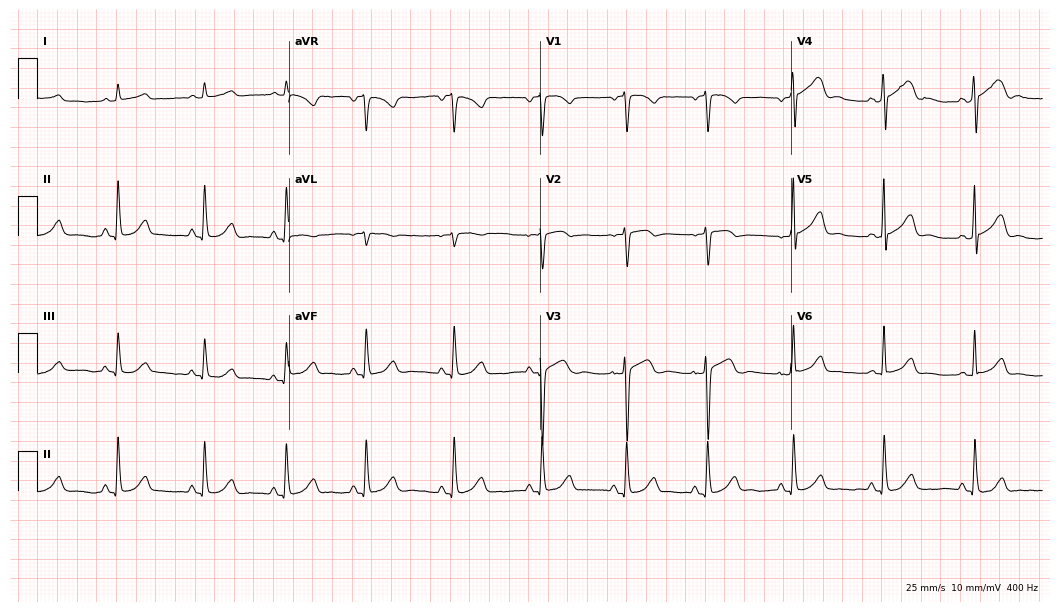
Resting 12-lead electrocardiogram (10.2-second recording at 400 Hz). Patient: a 63-year-old female. Read as a normal ECG.